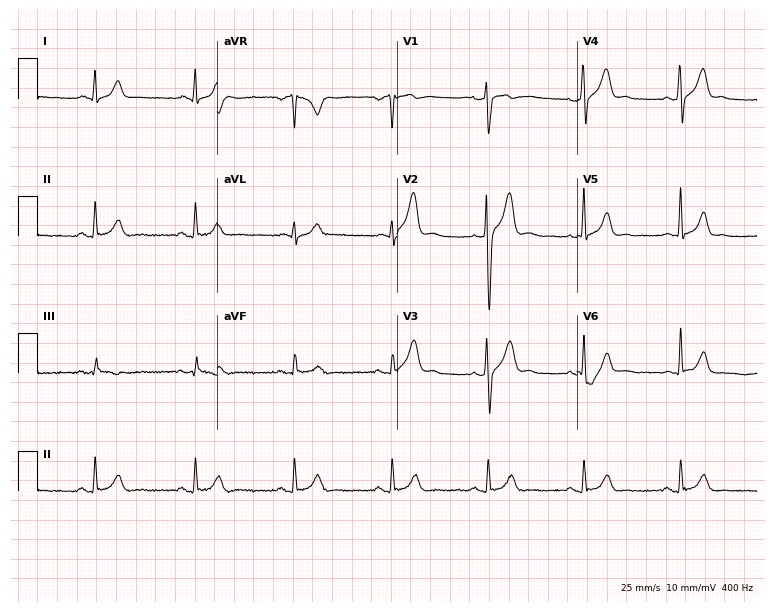
ECG — a male, 29 years old. Screened for six findings — first-degree AV block, right bundle branch block, left bundle branch block, sinus bradycardia, atrial fibrillation, sinus tachycardia — none is recorded. Only these six findings were labelled.